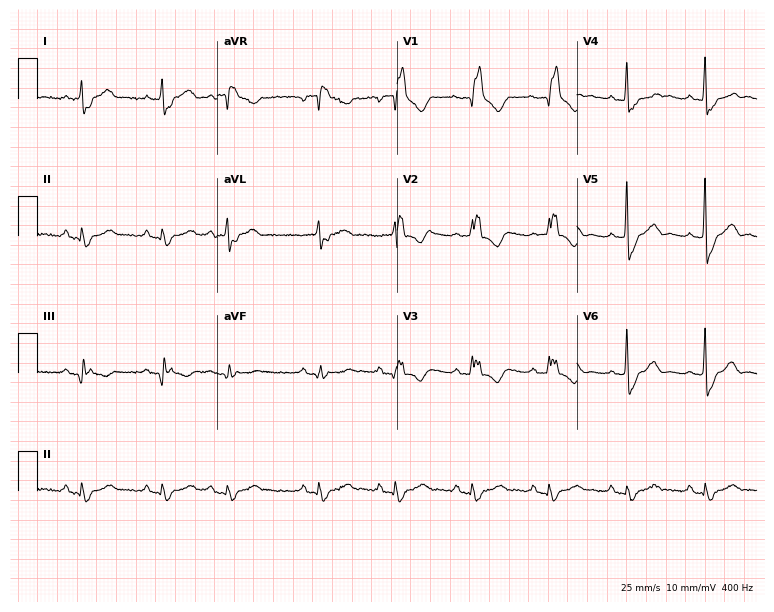
ECG — a 72-year-old man. Findings include right bundle branch block (RBBB).